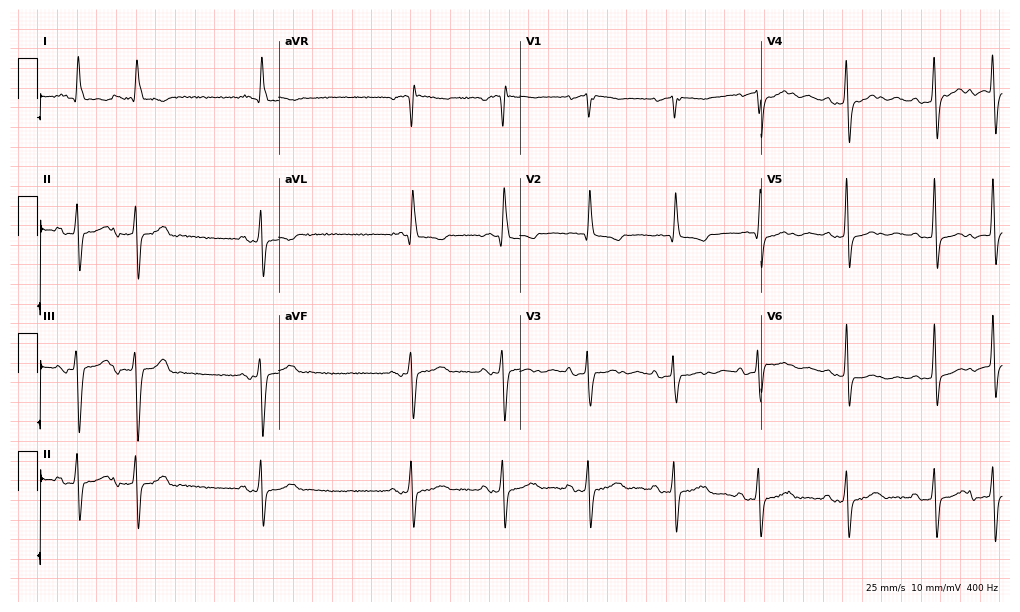
12-lead ECG (9.8-second recording at 400 Hz) from a woman, 83 years old. Screened for six findings — first-degree AV block, right bundle branch block, left bundle branch block, sinus bradycardia, atrial fibrillation, sinus tachycardia — none is recorded.